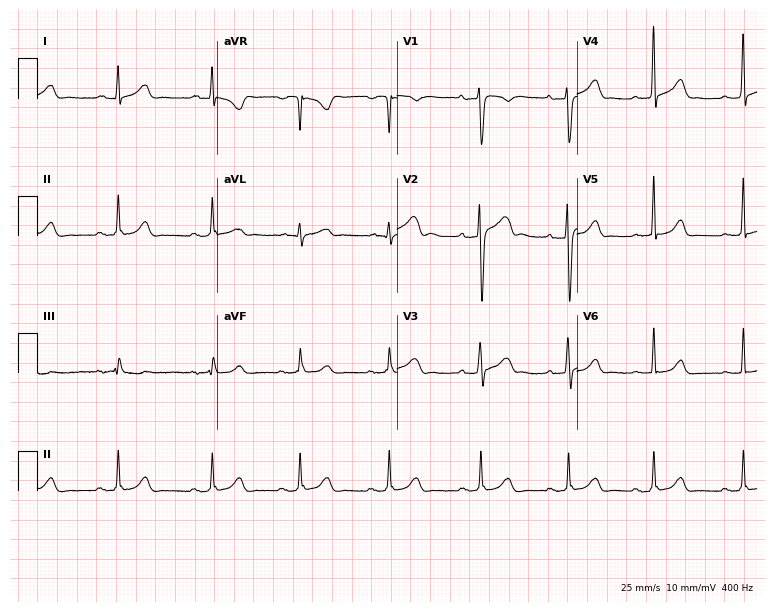
Resting 12-lead electrocardiogram (7.3-second recording at 400 Hz). Patient: a 22-year-old male. Read as a normal ECG.